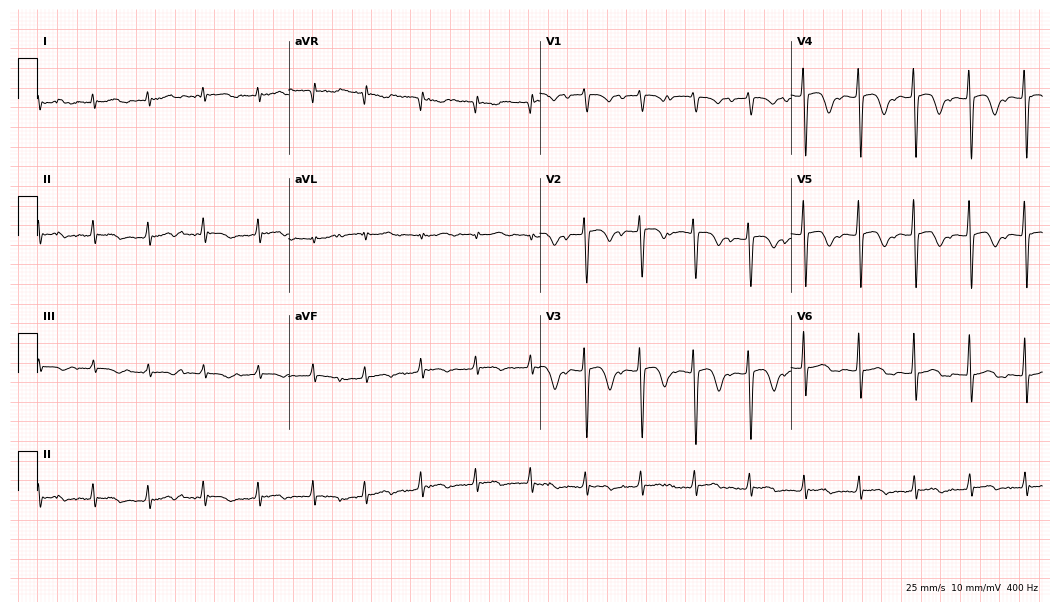
Standard 12-lead ECG recorded from an 85-year-old female. The tracing shows sinus tachycardia (a sinus rate of 100 beats per minute or more).